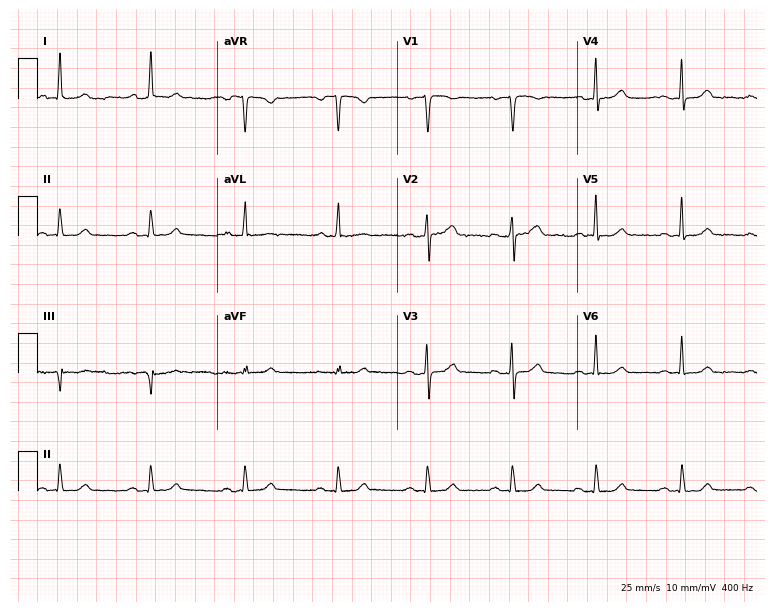
12-lead ECG from a 50-year-old woman. Labelled as a normal ECG.